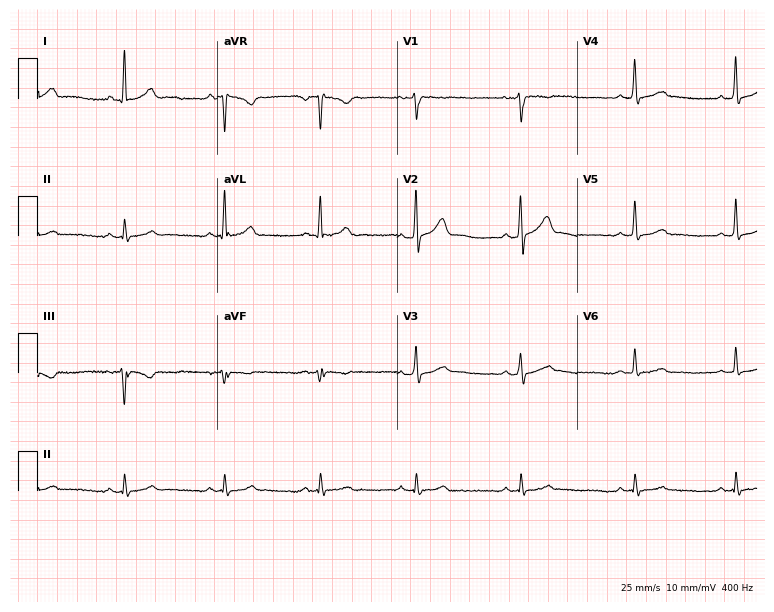
12-lead ECG from a male, 37 years old (7.3-second recording at 400 Hz). No first-degree AV block, right bundle branch block (RBBB), left bundle branch block (LBBB), sinus bradycardia, atrial fibrillation (AF) or sinus tachycardia recorded for this tracing.